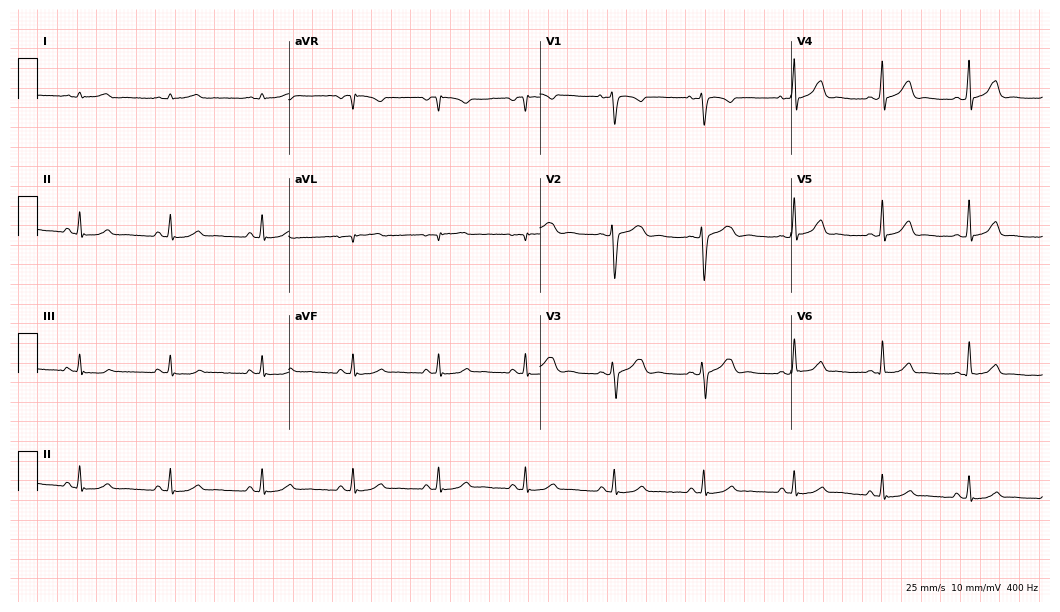
Electrocardiogram (10.2-second recording at 400 Hz), a female patient, 25 years old. Overall reading on record: normal ECG.